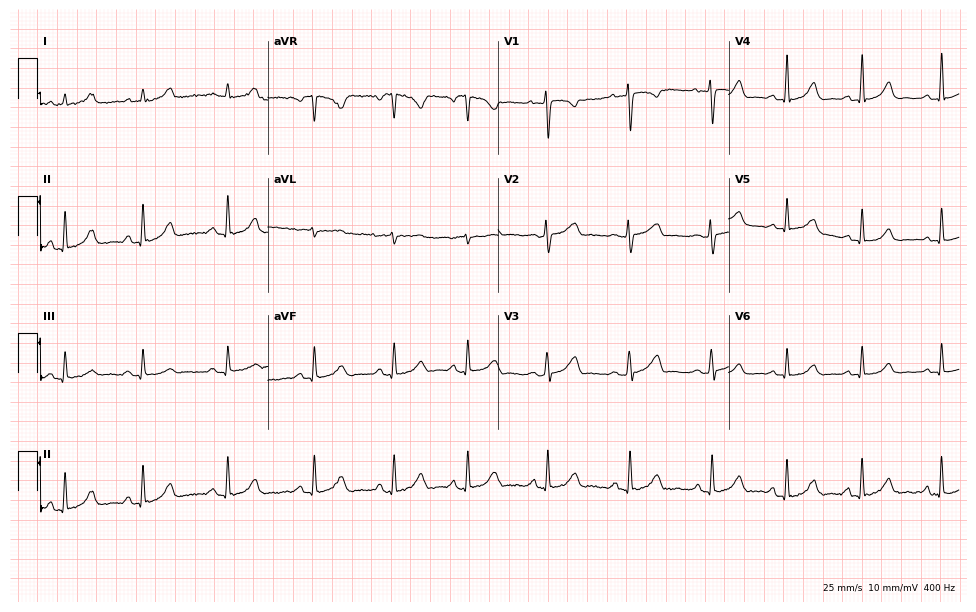
Standard 12-lead ECG recorded from a female, 17 years old. None of these six findings is recorded: first-degree AV block, right bundle branch block, left bundle branch block, sinus bradycardia, atrial fibrillation, sinus tachycardia. Only these six findings were labelled.